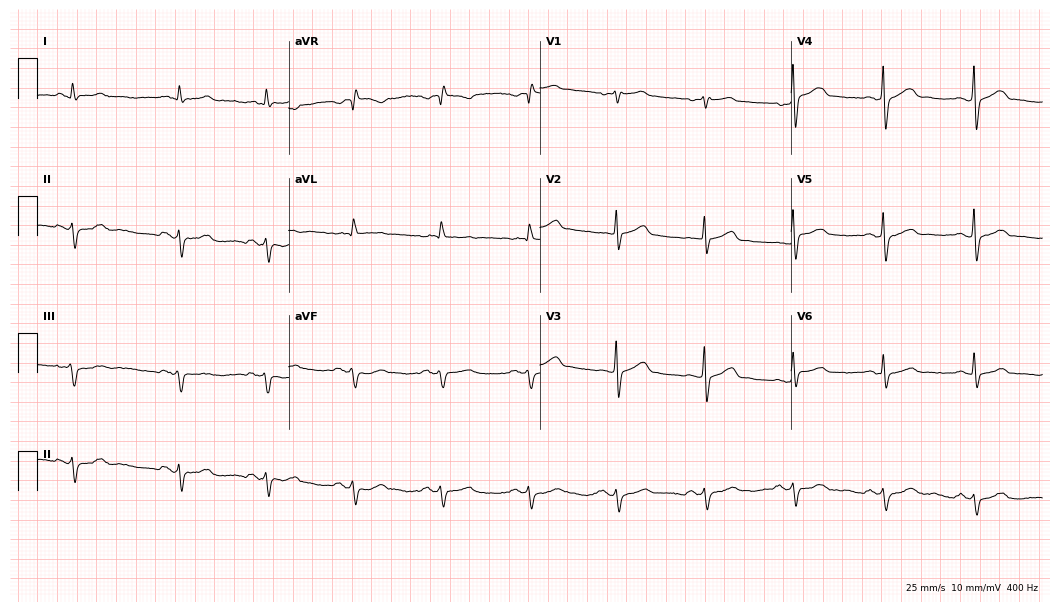
Standard 12-lead ECG recorded from a 79-year-old male patient (10.2-second recording at 400 Hz). None of these six findings is recorded: first-degree AV block, right bundle branch block (RBBB), left bundle branch block (LBBB), sinus bradycardia, atrial fibrillation (AF), sinus tachycardia. Only these six findings were labelled.